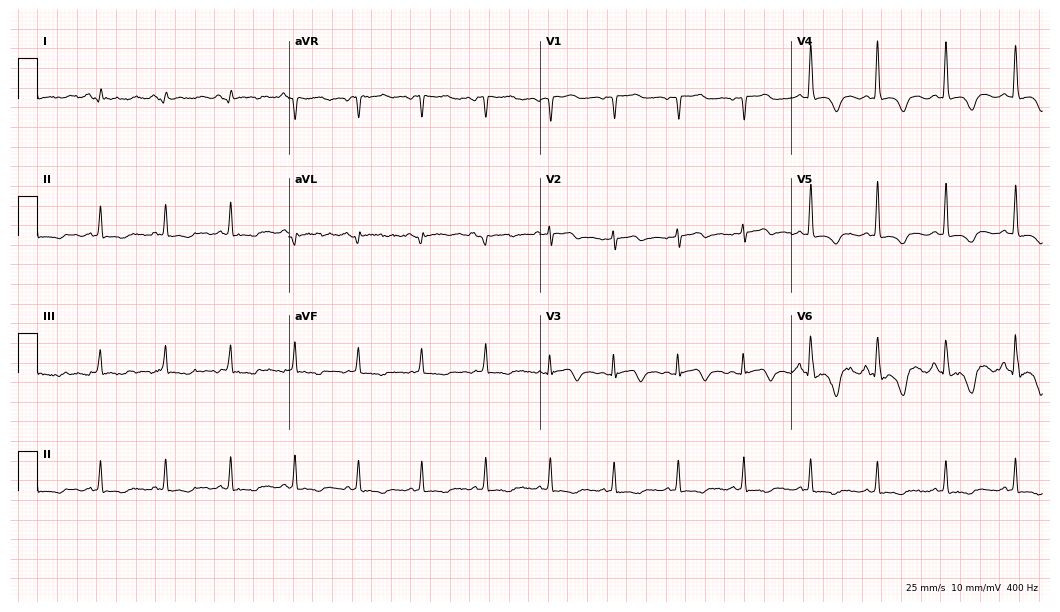
Electrocardiogram, a 65-year-old woman. Of the six screened findings (first-degree AV block, right bundle branch block (RBBB), left bundle branch block (LBBB), sinus bradycardia, atrial fibrillation (AF), sinus tachycardia), none is recorded. Other findings, if any, are not listed.